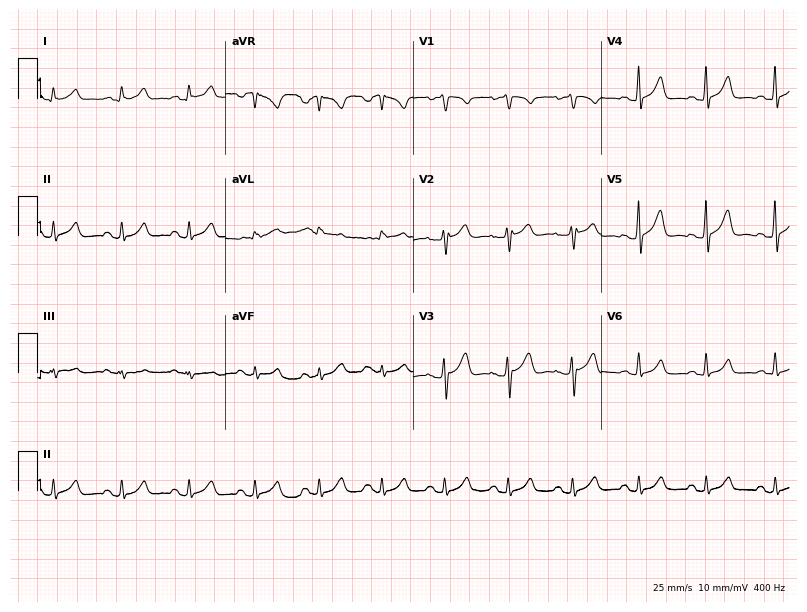
Standard 12-lead ECG recorded from a male, 49 years old (7.7-second recording at 400 Hz). Read as a normal ECG.